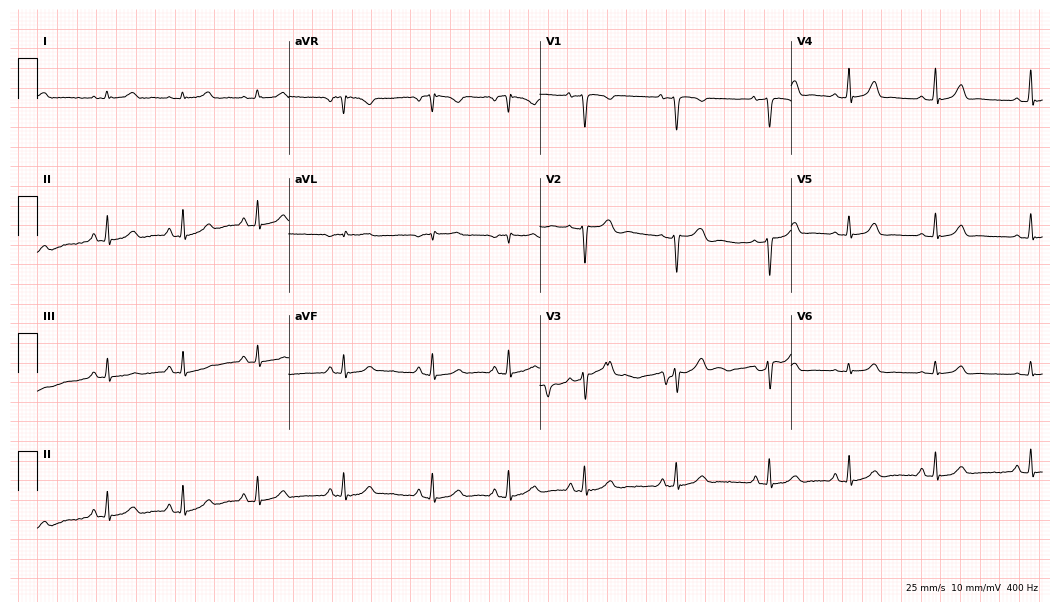
Electrocardiogram (10.2-second recording at 400 Hz), a female patient, 19 years old. Of the six screened findings (first-degree AV block, right bundle branch block, left bundle branch block, sinus bradycardia, atrial fibrillation, sinus tachycardia), none is recorded.